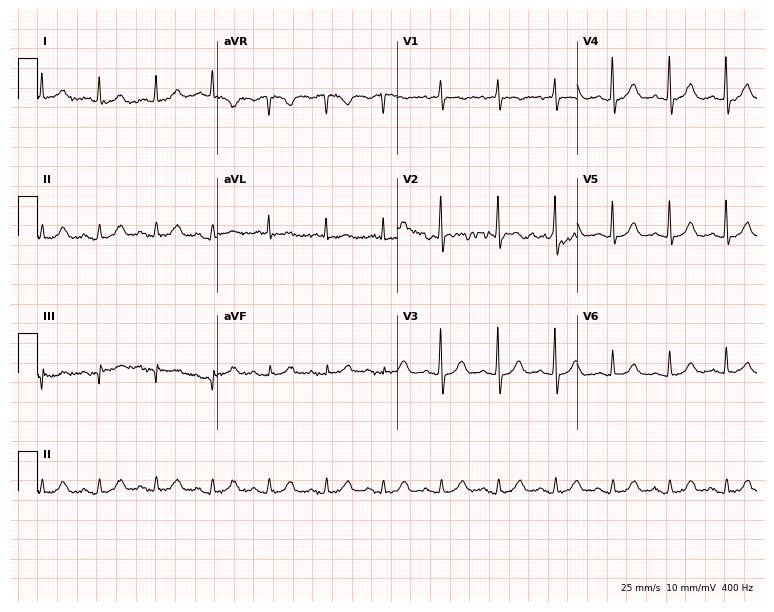
Standard 12-lead ECG recorded from an 85-year-old woman (7.3-second recording at 400 Hz). None of these six findings is recorded: first-degree AV block, right bundle branch block (RBBB), left bundle branch block (LBBB), sinus bradycardia, atrial fibrillation (AF), sinus tachycardia. Other findings, if any, are not listed.